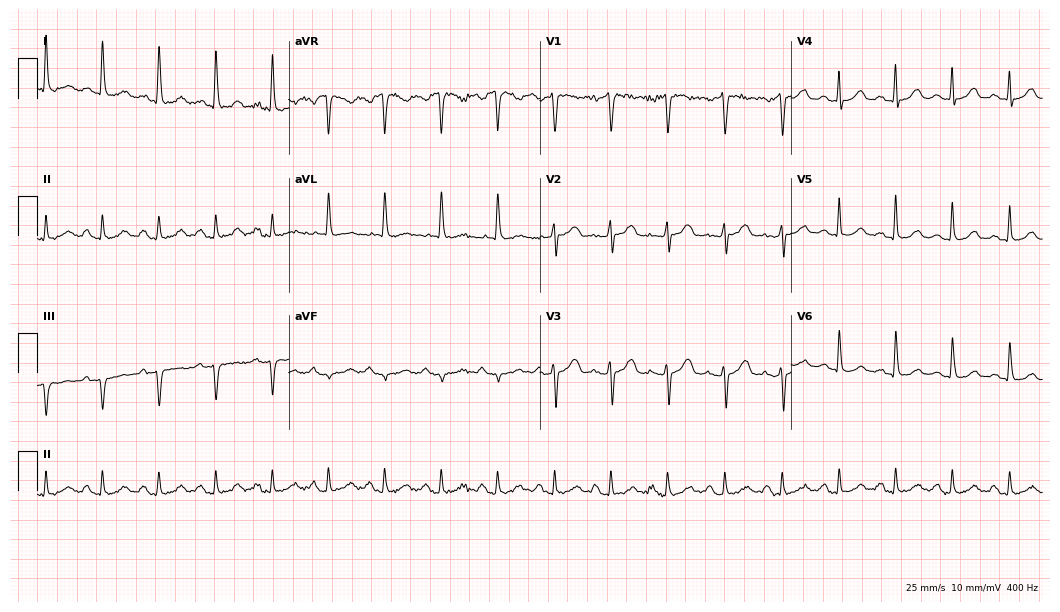
Resting 12-lead electrocardiogram. Patient: a female, 71 years old. The tracing shows sinus tachycardia (a sinus rate of 100 beats per minute or more).